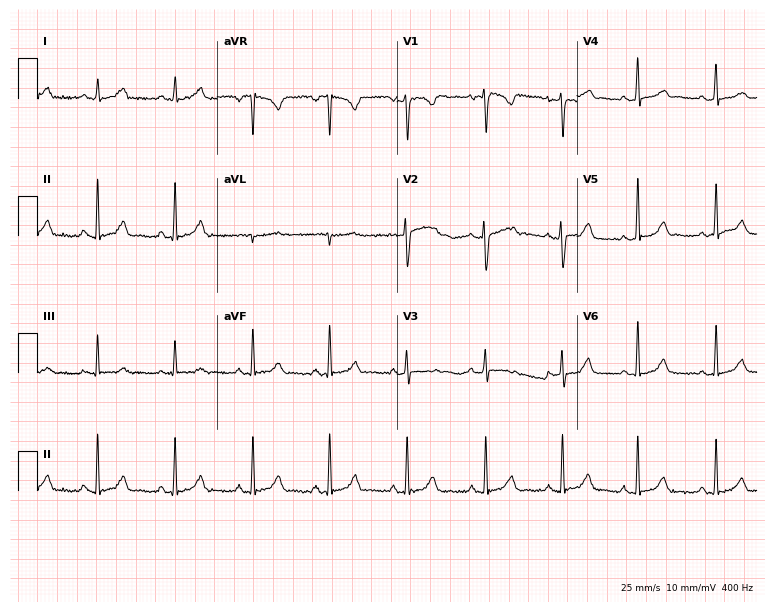
12-lead ECG (7.3-second recording at 400 Hz) from a 42-year-old female. Screened for six findings — first-degree AV block, right bundle branch block, left bundle branch block, sinus bradycardia, atrial fibrillation, sinus tachycardia — none is recorded.